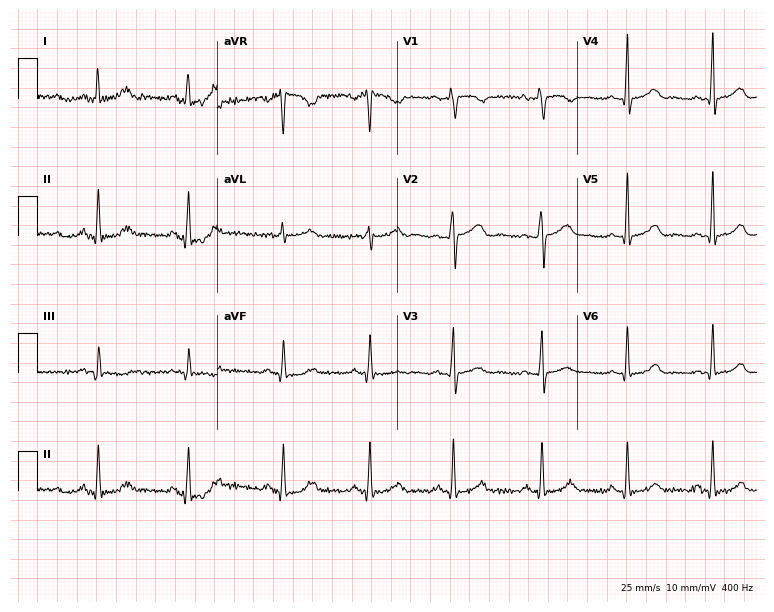
12-lead ECG from a female, 42 years old. Screened for six findings — first-degree AV block, right bundle branch block (RBBB), left bundle branch block (LBBB), sinus bradycardia, atrial fibrillation (AF), sinus tachycardia — none is recorded. Findings outside these six are not listed.